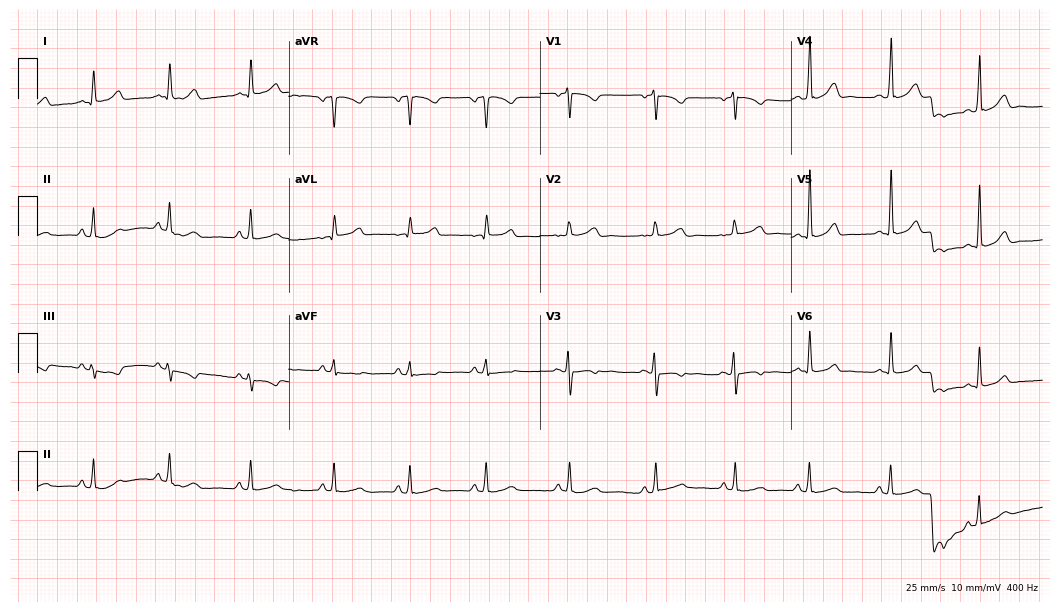
Standard 12-lead ECG recorded from a 24-year-old female patient. None of these six findings is recorded: first-degree AV block, right bundle branch block, left bundle branch block, sinus bradycardia, atrial fibrillation, sinus tachycardia. Other findings, if any, are not listed.